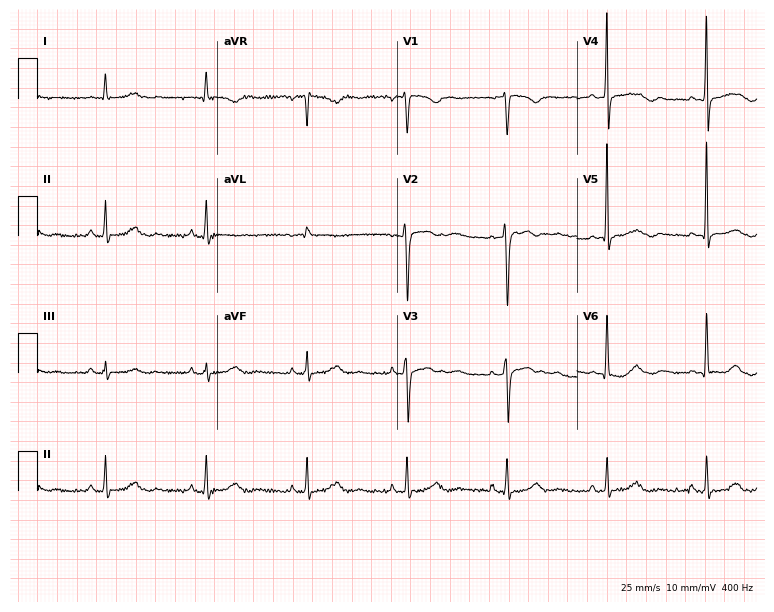
Standard 12-lead ECG recorded from a 58-year-old male. Read as a normal ECG.